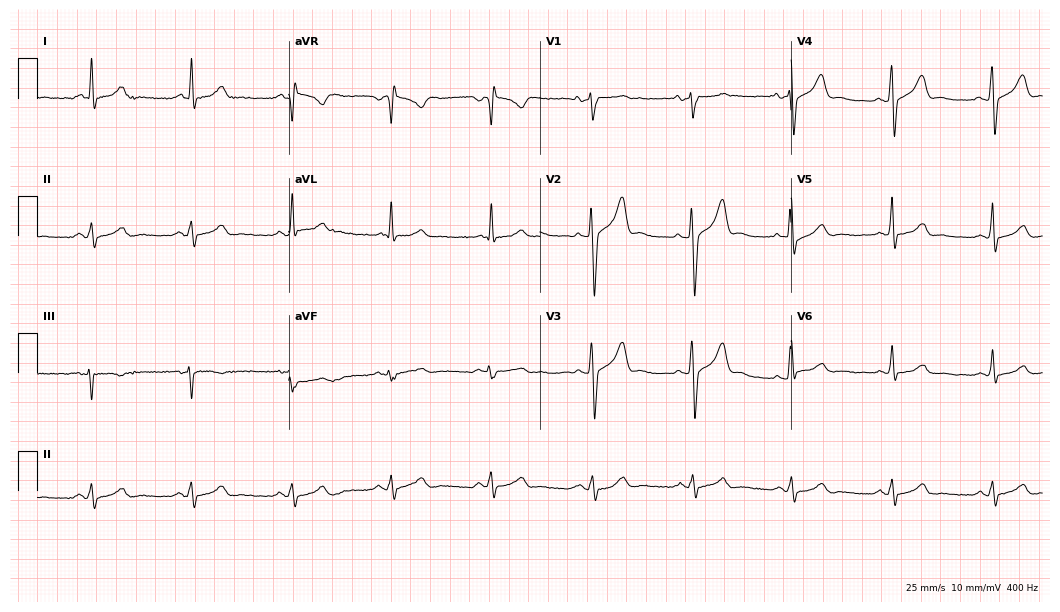
Resting 12-lead electrocardiogram (10.2-second recording at 400 Hz). Patient: a 51-year-old male. Read as a normal ECG.